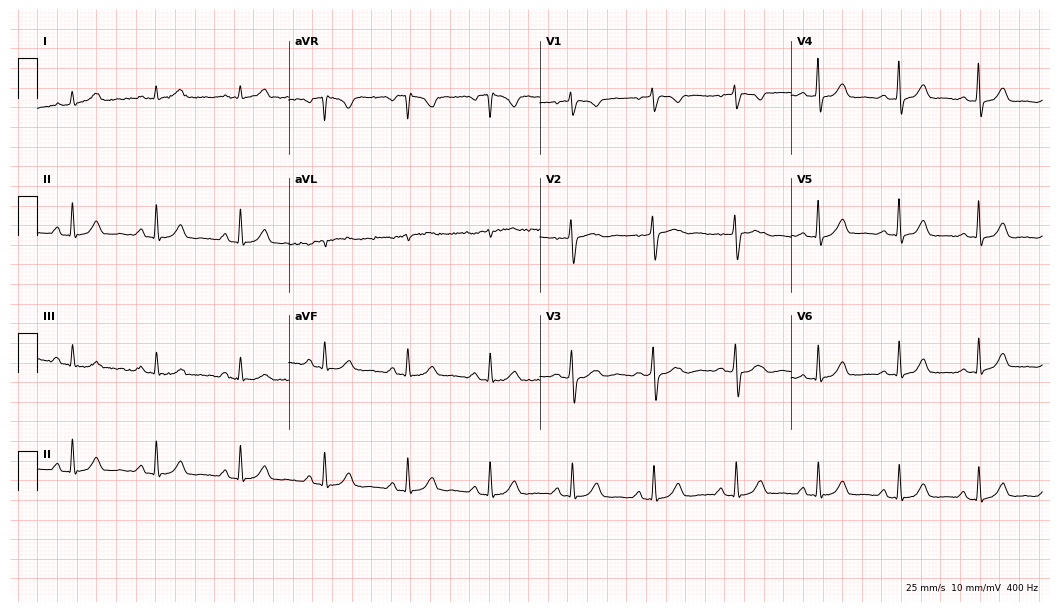
Resting 12-lead electrocardiogram (10.2-second recording at 400 Hz). Patient: a 41-year-old woman. Read as a normal ECG.